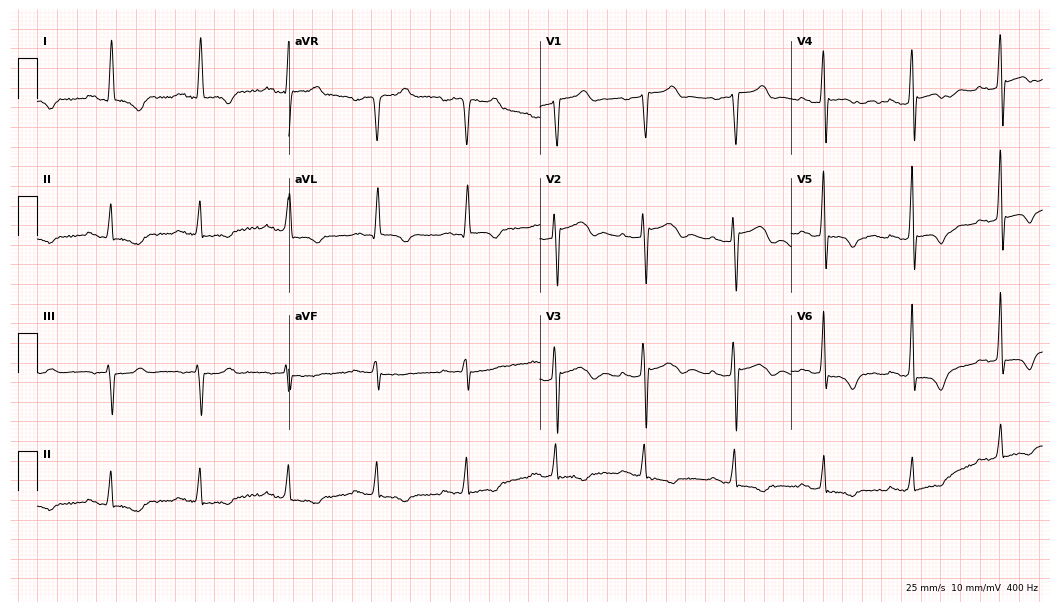
Electrocardiogram, a man, 80 years old. Of the six screened findings (first-degree AV block, right bundle branch block, left bundle branch block, sinus bradycardia, atrial fibrillation, sinus tachycardia), none is recorded.